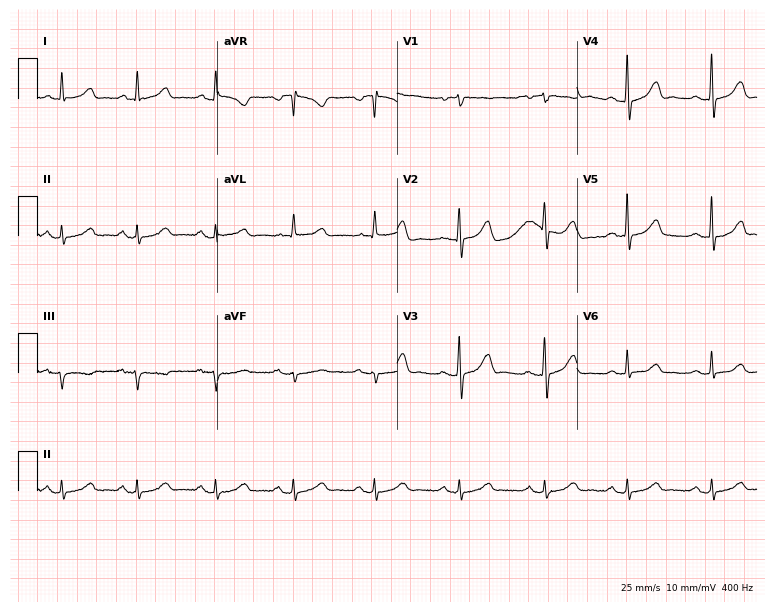
12-lead ECG (7.3-second recording at 400 Hz) from a 74-year-old female. Labelled as a normal ECG.